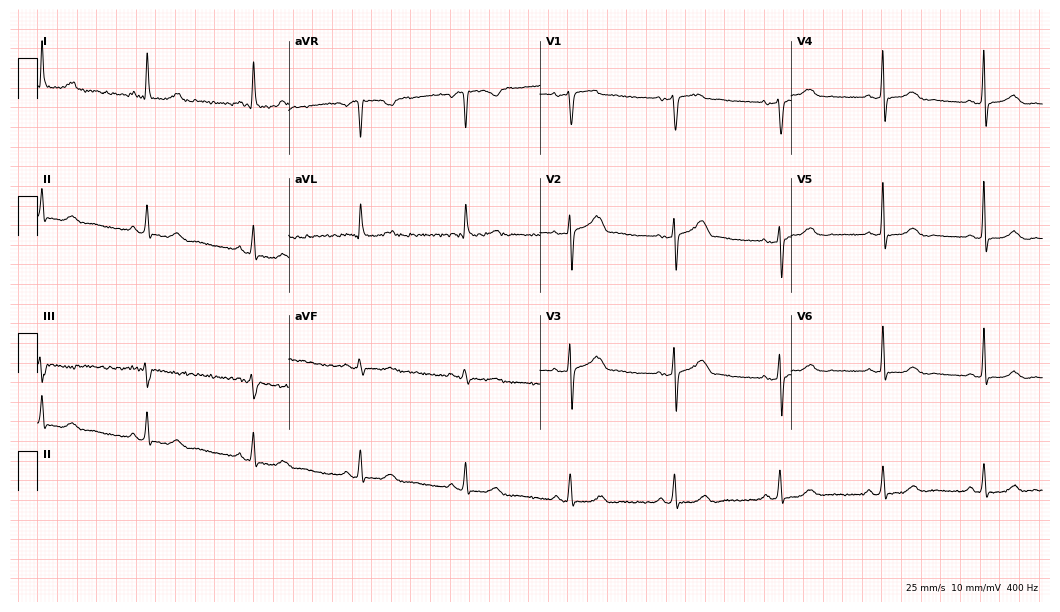
ECG — a woman, 61 years old. Screened for six findings — first-degree AV block, right bundle branch block, left bundle branch block, sinus bradycardia, atrial fibrillation, sinus tachycardia — none is recorded. Only these six findings were labelled.